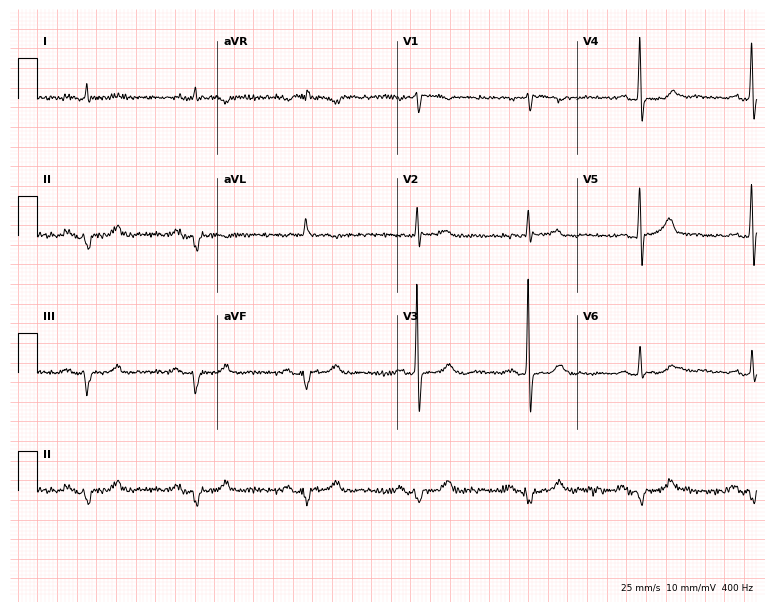
Electrocardiogram, an 80-year-old man. Of the six screened findings (first-degree AV block, right bundle branch block, left bundle branch block, sinus bradycardia, atrial fibrillation, sinus tachycardia), none is recorded.